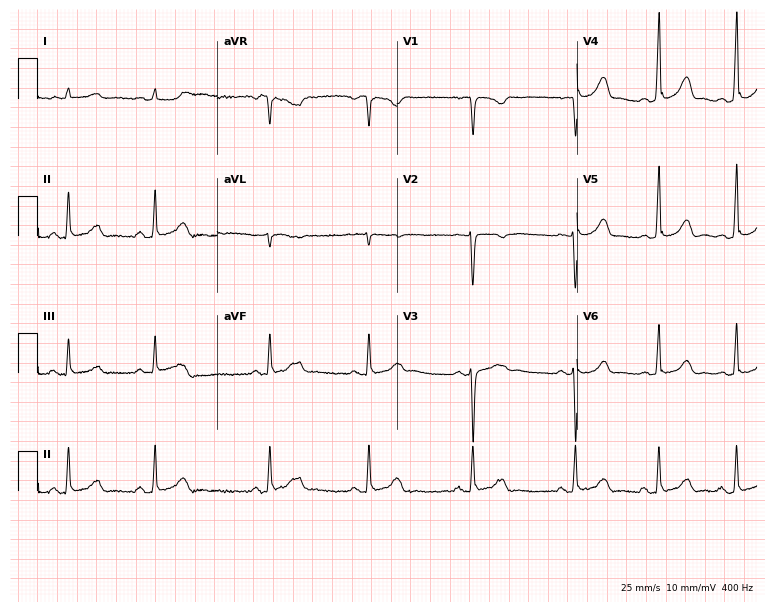
Standard 12-lead ECG recorded from a female, 22 years old. Read as a normal ECG.